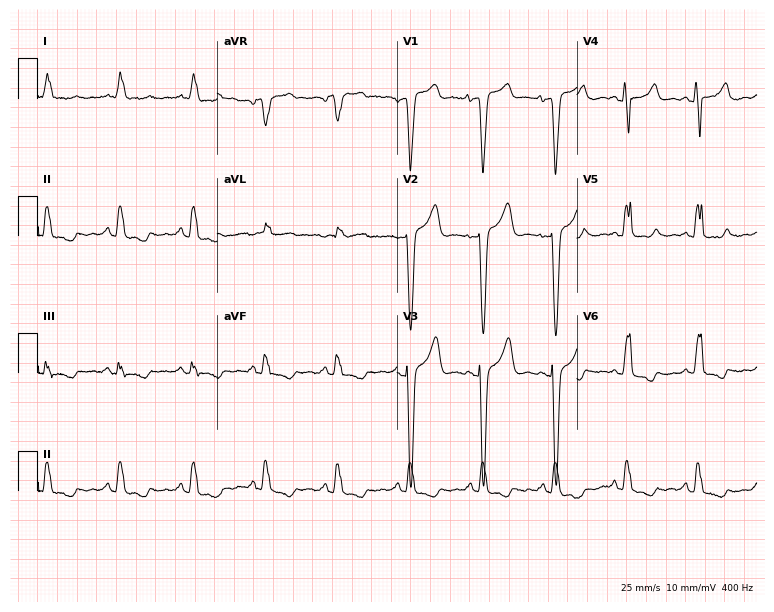
12-lead ECG from a 76-year-old female patient (7.3-second recording at 400 Hz). No first-degree AV block, right bundle branch block (RBBB), left bundle branch block (LBBB), sinus bradycardia, atrial fibrillation (AF) or sinus tachycardia recorded for this tracing.